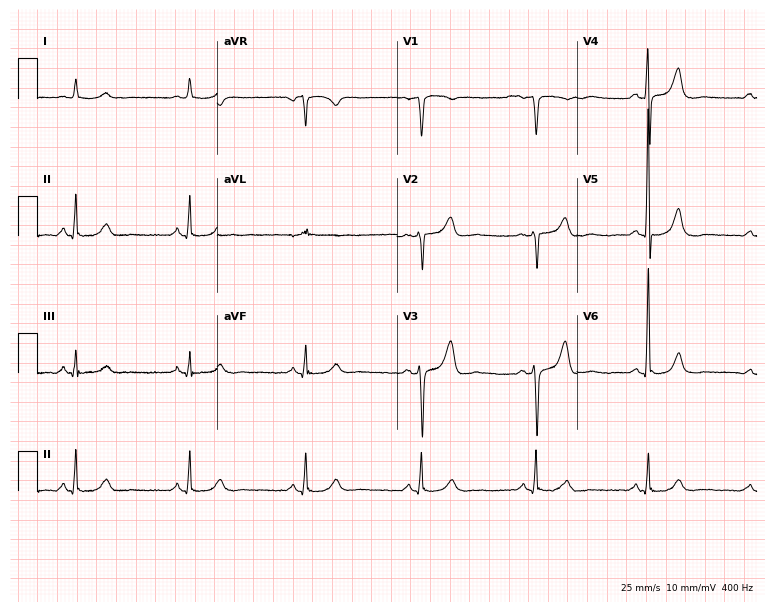
12-lead ECG (7.3-second recording at 400 Hz) from a male, 72 years old. Screened for six findings — first-degree AV block, right bundle branch block (RBBB), left bundle branch block (LBBB), sinus bradycardia, atrial fibrillation (AF), sinus tachycardia — none is recorded. Findings outside these six are not listed.